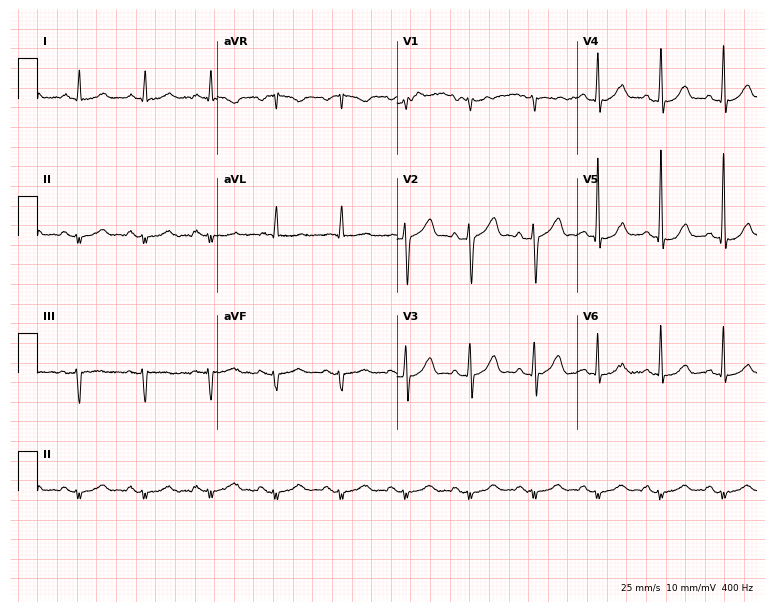
12-lead ECG from a male patient, 73 years old. Screened for six findings — first-degree AV block, right bundle branch block, left bundle branch block, sinus bradycardia, atrial fibrillation, sinus tachycardia — none is recorded.